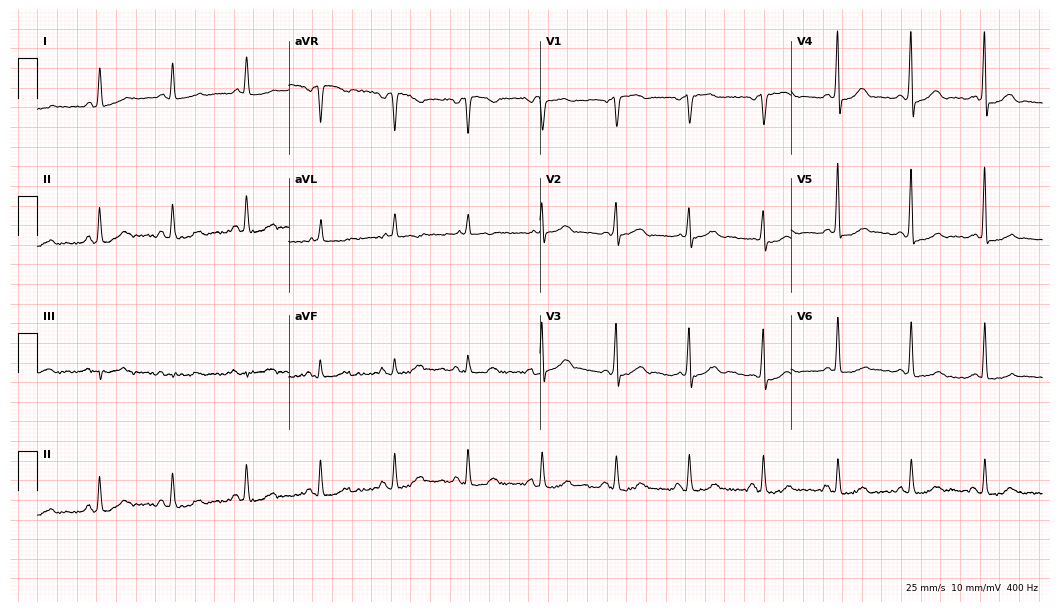
12-lead ECG from a woman, 64 years old. Screened for six findings — first-degree AV block, right bundle branch block, left bundle branch block, sinus bradycardia, atrial fibrillation, sinus tachycardia — none is recorded. Other findings, if any, are not listed.